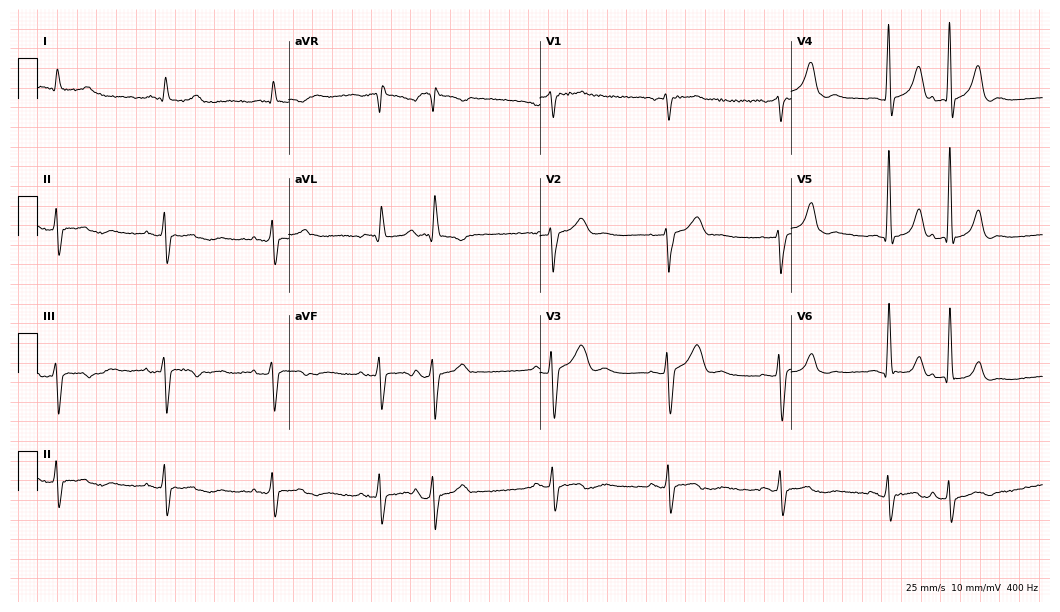
12-lead ECG (10.2-second recording at 400 Hz) from a male, 70 years old. Screened for six findings — first-degree AV block, right bundle branch block, left bundle branch block, sinus bradycardia, atrial fibrillation, sinus tachycardia — none is recorded. Other findings, if any, are not listed.